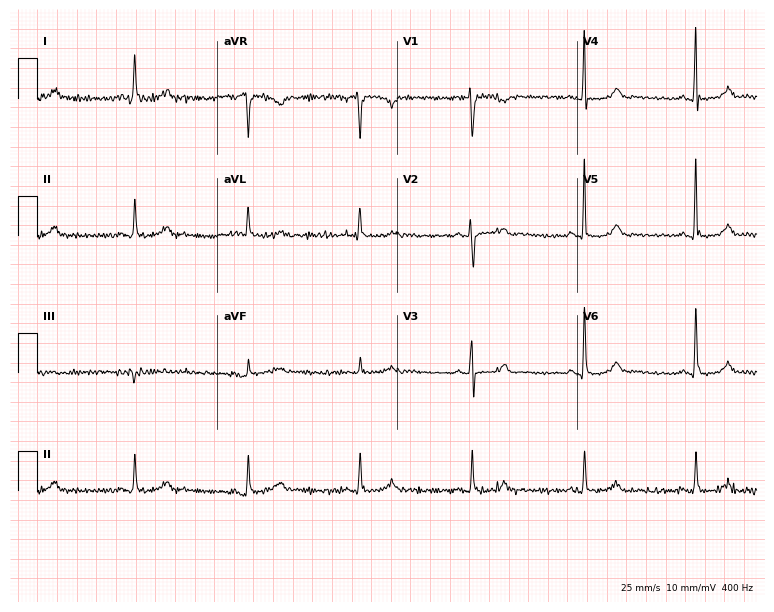
Standard 12-lead ECG recorded from a woman, 66 years old. None of these six findings is recorded: first-degree AV block, right bundle branch block, left bundle branch block, sinus bradycardia, atrial fibrillation, sinus tachycardia.